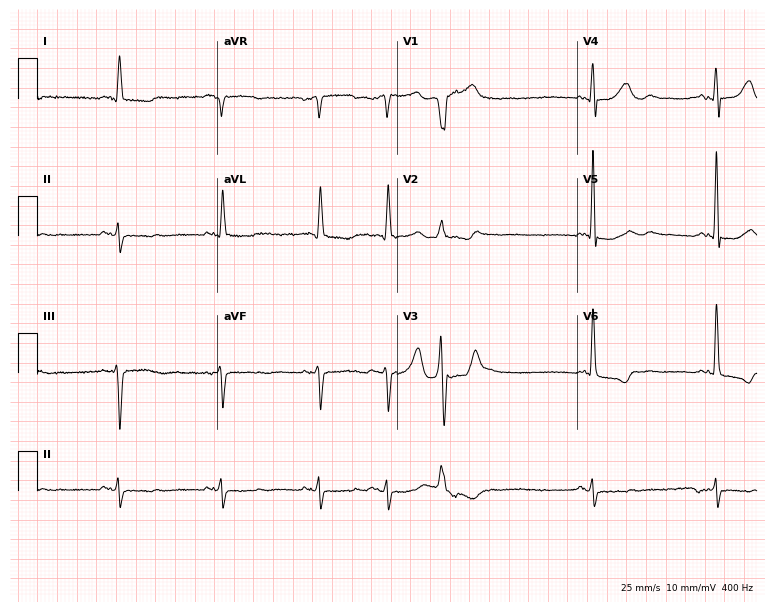
ECG — an 84-year-old man. Screened for six findings — first-degree AV block, right bundle branch block, left bundle branch block, sinus bradycardia, atrial fibrillation, sinus tachycardia — none is recorded. Only these six findings were labelled.